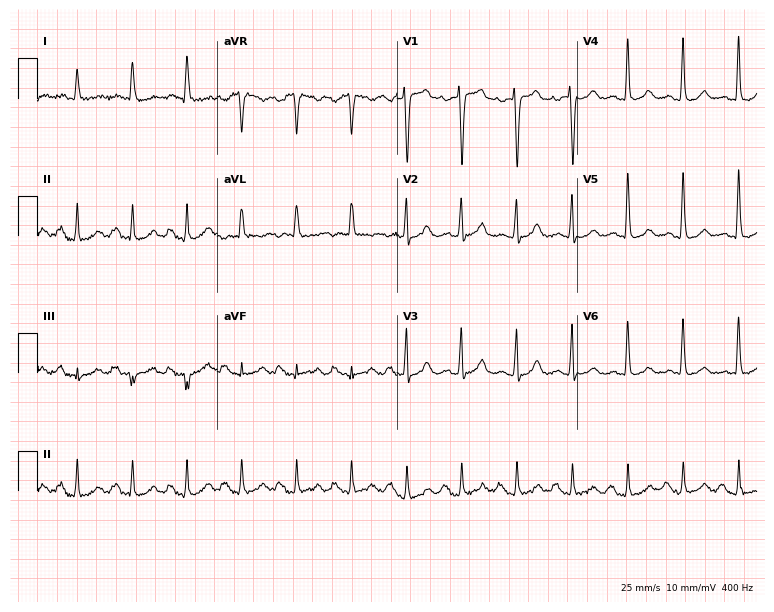
Standard 12-lead ECG recorded from a 71-year-old woman. The tracing shows sinus tachycardia (a sinus rate of 100 beats per minute or more).